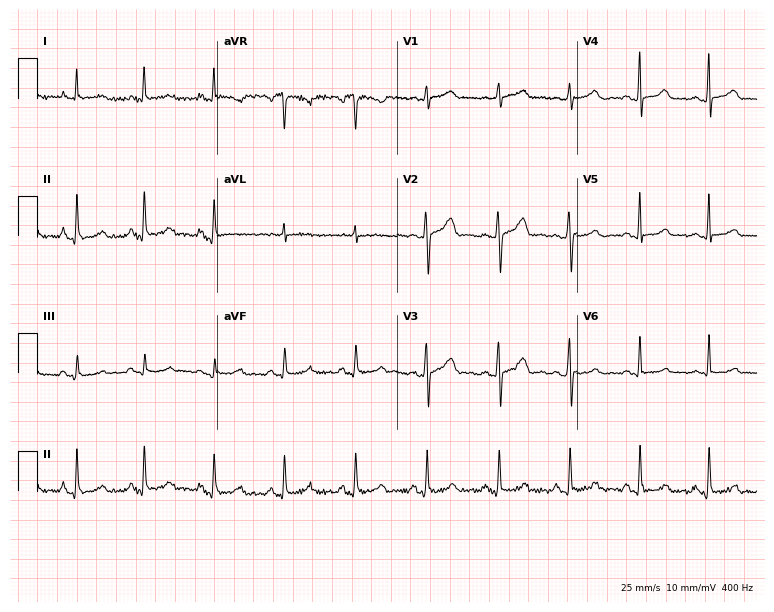
12-lead ECG (7.3-second recording at 400 Hz) from a female, 25 years old. Screened for six findings — first-degree AV block, right bundle branch block, left bundle branch block, sinus bradycardia, atrial fibrillation, sinus tachycardia — none is recorded.